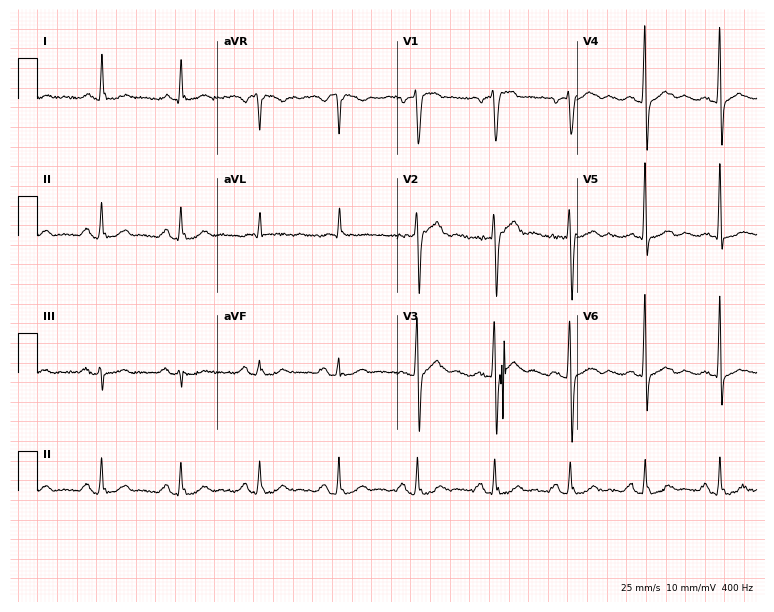
12-lead ECG from a man, 72 years old. Screened for six findings — first-degree AV block, right bundle branch block, left bundle branch block, sinus bradycardia, atrial fibrillation, sinus tachycardia — none is recorded. Findings outside these six are not listed.